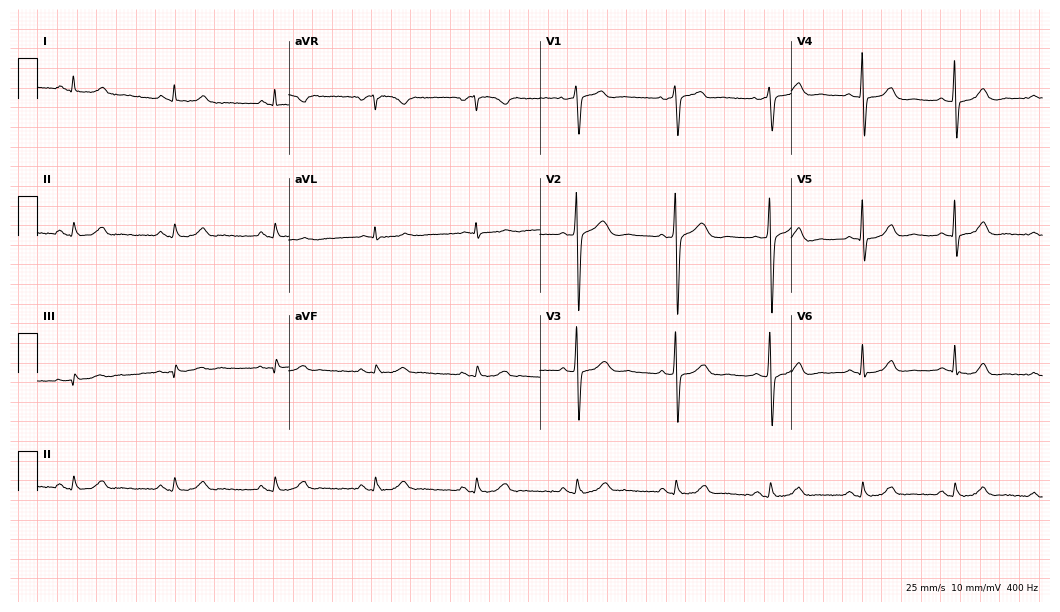
ECG — a 66-year-old male patient. Screened for six findings — first-degree AV block, right bundle branch block (RBBB), left bundle branch block (LBBB), sinus bradycardia, atrial fibrillation (AF), sinus tachycardia — none is recorded. Other findings, if any, are not listed.